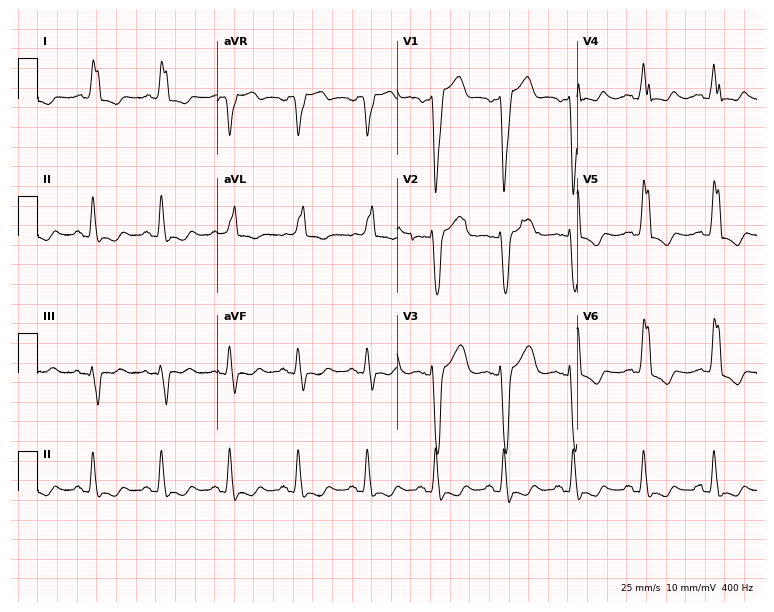
Resting 12-lead electrocardiogram (7.3-second recording at 400 Hz). Patient: a female, 68 years old. The tracing shows left bundle branch block.